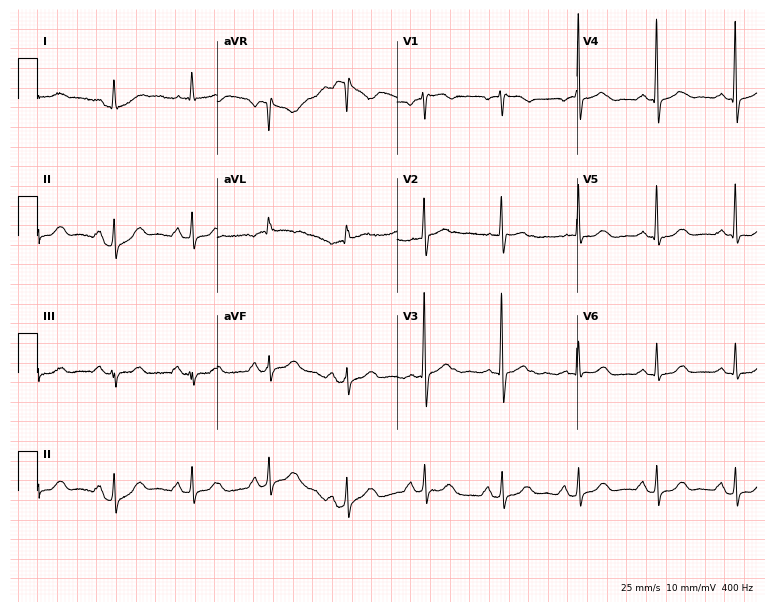
Resting 12-lead electrocardiogram (7.3-second recording at 400 Hz). Patient: a 76-year-old female. None of these six findings is recorded: first-degree AV block, right bundle branch block (RBBB), left bundle branch block (LBBB), sinus bradycardia, atrial fibrillation (AF), sinus tachycardia.